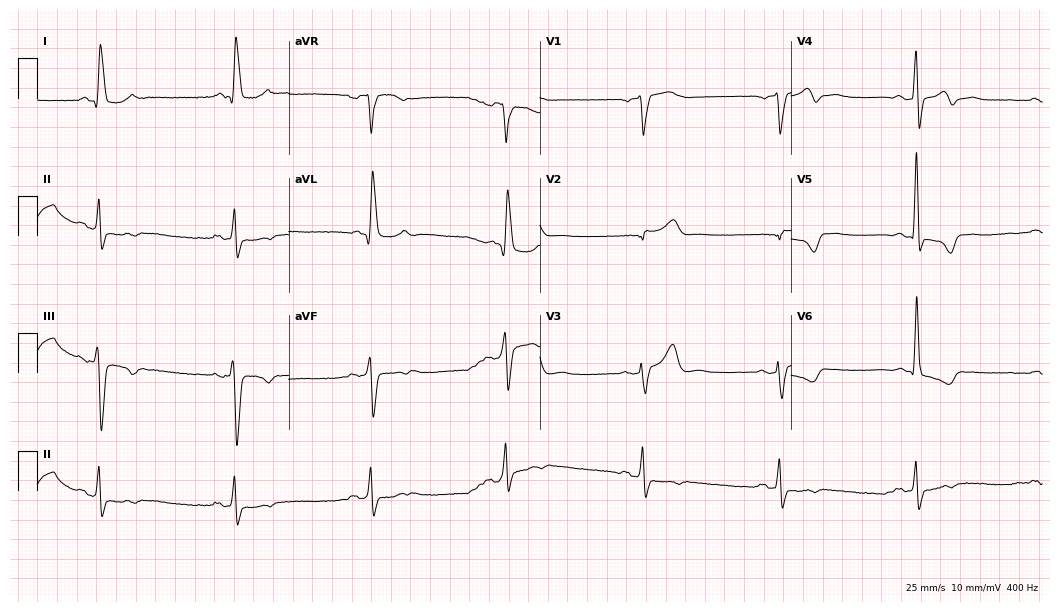
12-lead ECG from a man, 82 years old. No first-degree AV block, right bundle branch block, left bundle branch block, sinus bradycardia, atrial fibrillation or sinus tachycardia recorded for this tracing.